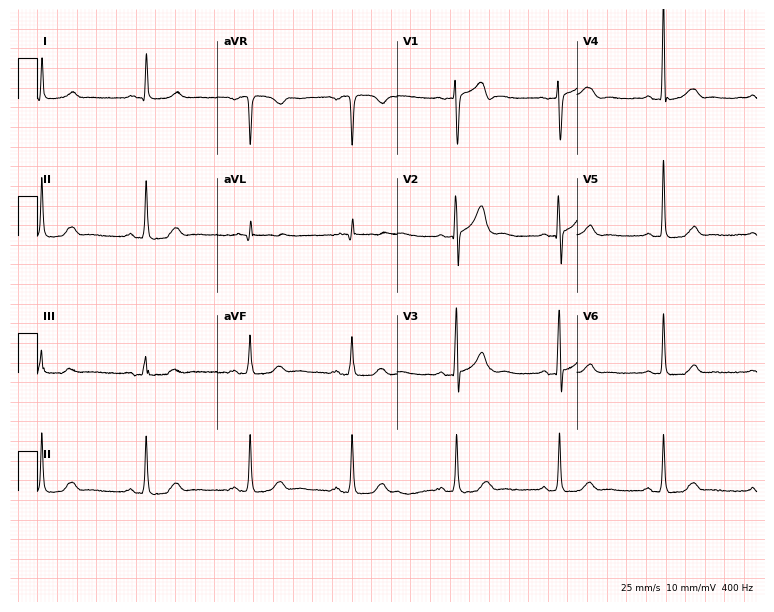
Resting 12-lead electrocardiogram (7.3-second recording at 400 Hz). Patient: a 71-year-old male. Read as a normal ECG.